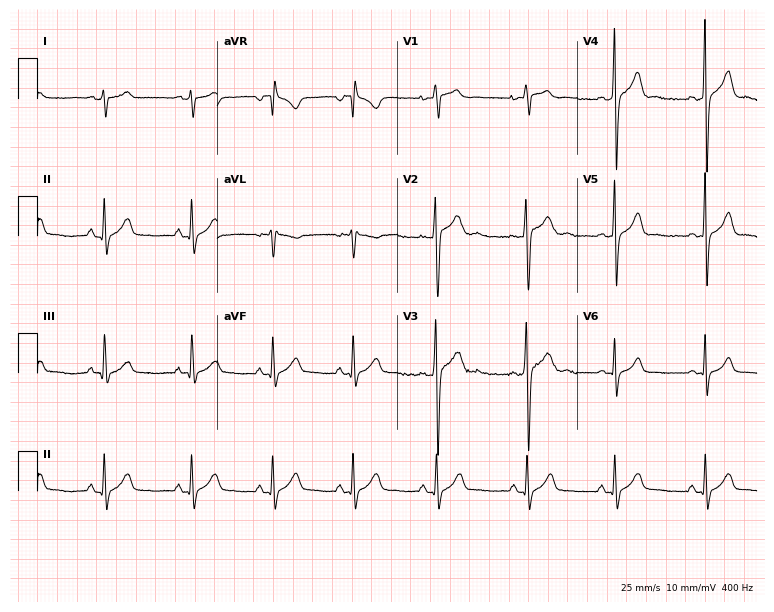
Standard 12-lead ECG recorded from a 24-year-old male (7.3-second recording at 400 Hz). None of these six findings is recorded: first-degree AV block, right bundle branch block, left bundle branch block, sinus bradycardia, atrial fibrillation, sinus tachycardia.